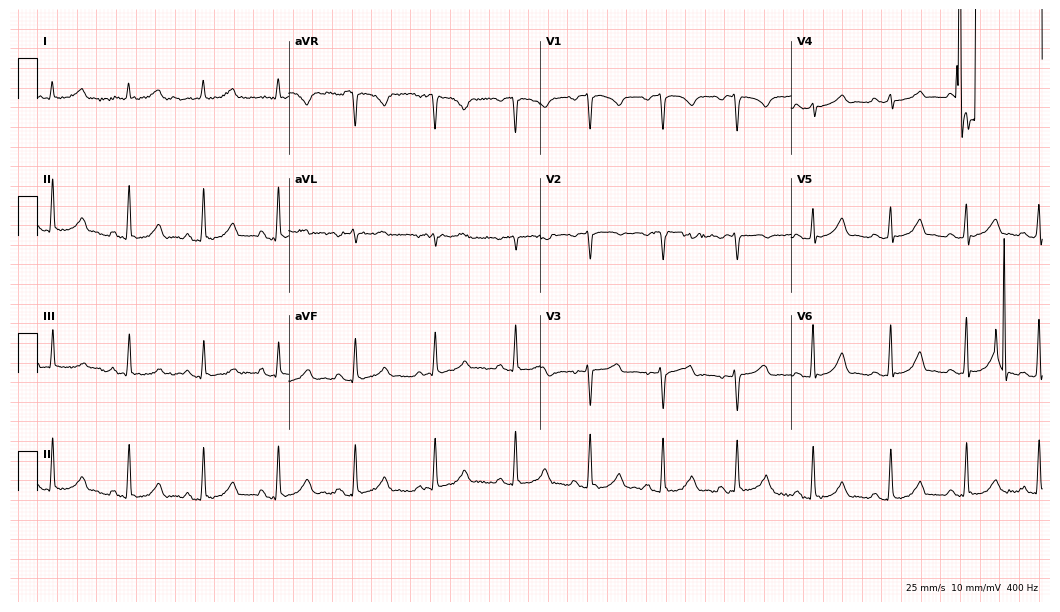
Resting 12-lead electrocardiogram (10.2-second recording at 400 Hz). Patient: a 60-year-old female. None of these six findings is recorded: first-degree AV block, right bundle branch block (RBBB), left bundle branch block (LBBB), sinus bradycardia, atrial fibrillation (AF), sinus tachycardia. Findings outside these six are not listed.